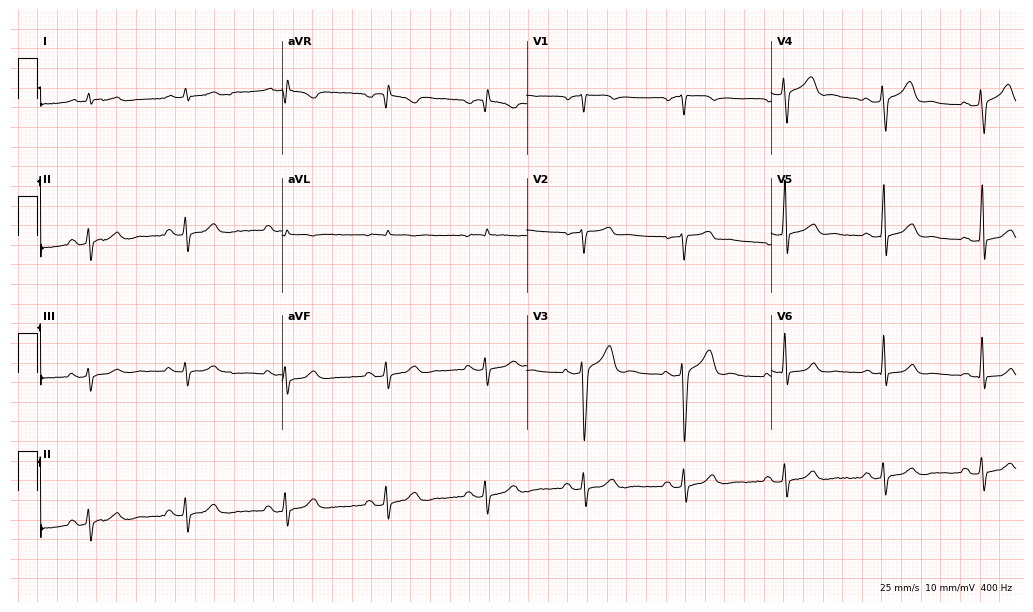
Resting 12-lead electrocardiogram (10-second recording at 400 Hz). Patient: a 69-year-old male. Read as a normal ECG.